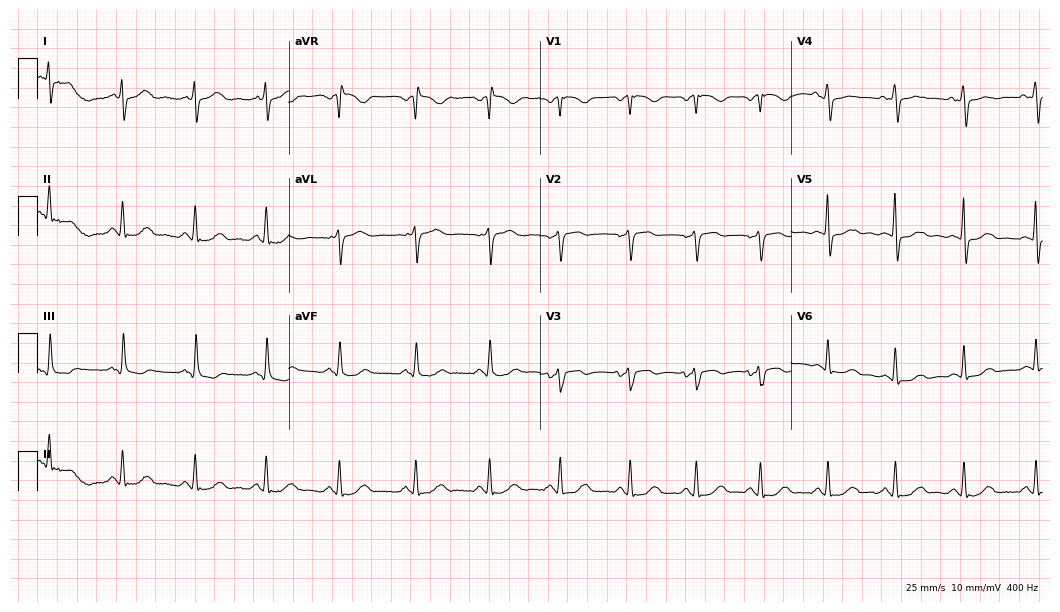
Resting 12-lead electrocardiogram. Patient: a 50-year-old female. None of these six findings is recorded: first-degree AV block, right bundle branch block, left bundle branch block, sinus bradycardia, atrial fibrillation, sinus tachycardia.